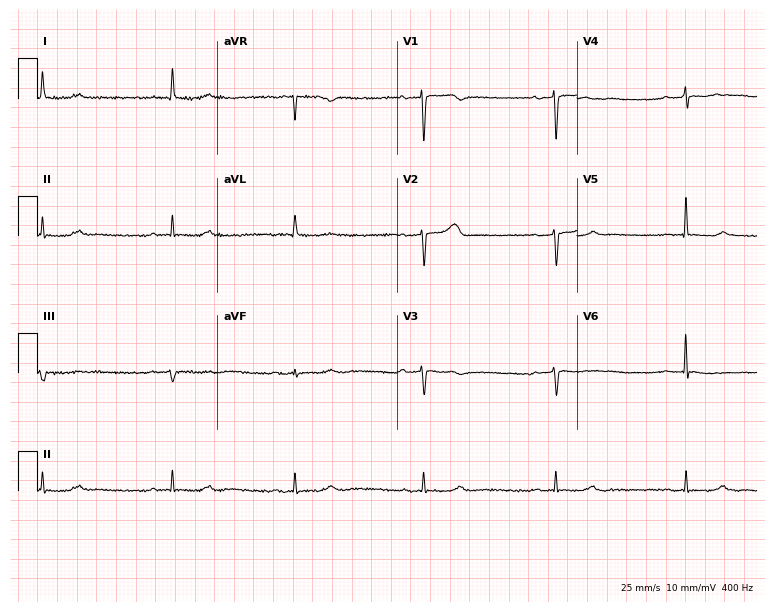
Standard 12-lead ECG recorded from a 71-year-old female patient (7.3-second recording at 400 Hz). The tracing shows sinus bradycardia (a sinus rate of 50 beats per minute or less).